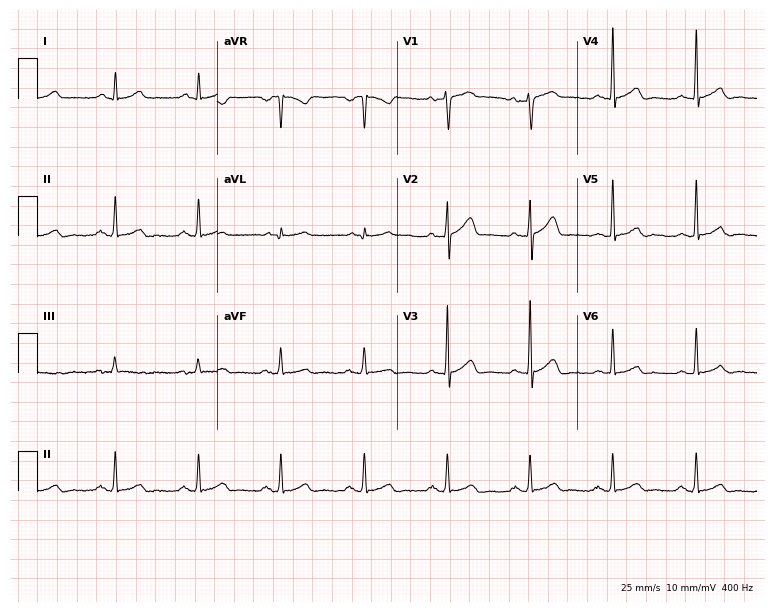
ECG (7.3-second recording at 400 Hz) — a male patient, 39 years old. Labelled as a normal ECG.